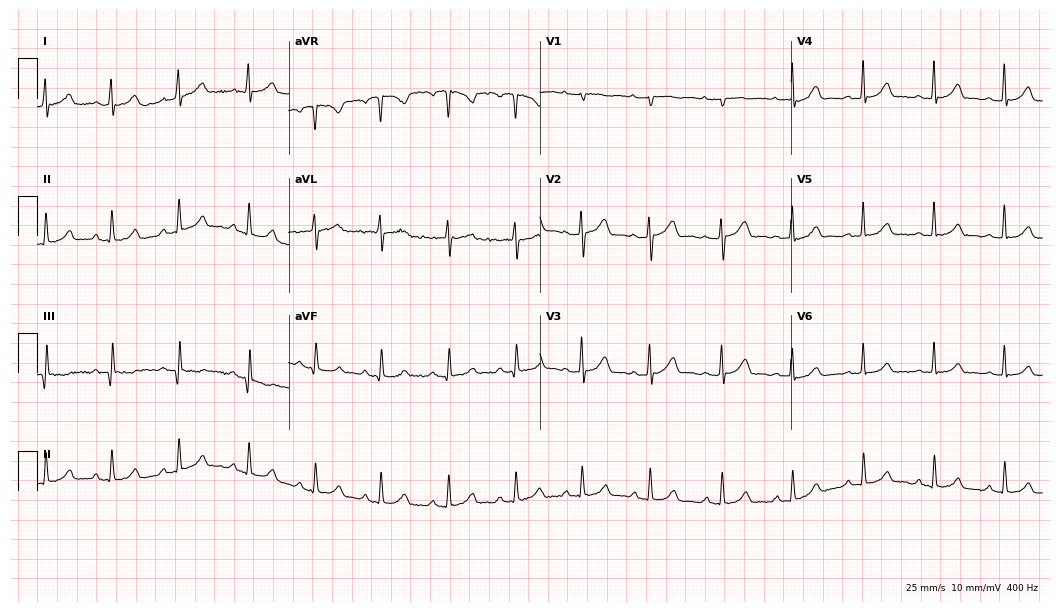
Standard 12-lead ECG recorded from a 26-year-old woman (10.2-second recording at 400 Hz). Read as a normal ECG.